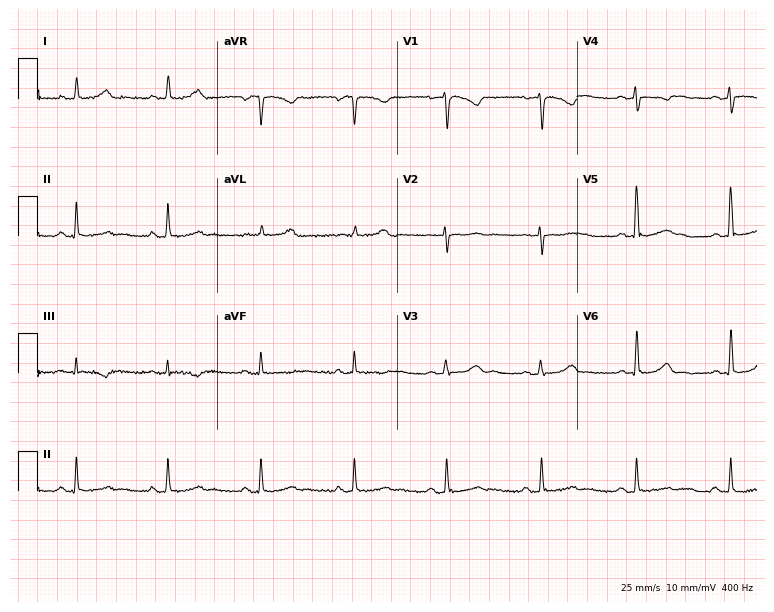
Standard 12-lead ECG recorded from a woman, 39 years old (7.3-second recording at 400 Hz). None of these six findings is recorded: first-degree AV block, right bundle branch block, left bundle branch block, sinus bradycardia, atrial fibrillation, sinus tachycardia.